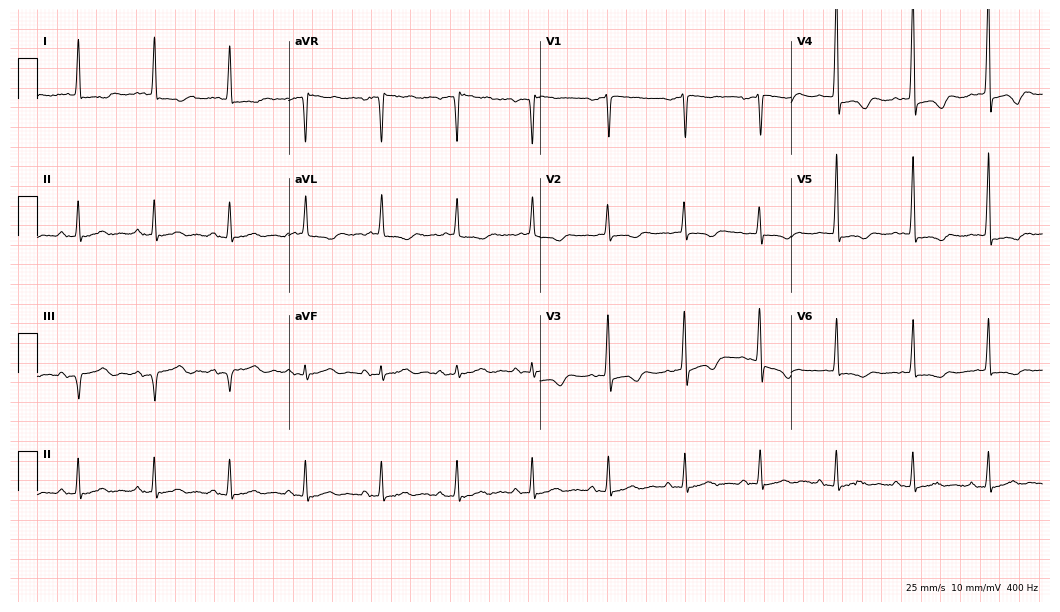
Resting 12-lead electrocardiogram. Patient: a woman, 80 years old. None of these six findings is recorded: first-degree AV block, right bundle branch block (RBBB), left bundle branch block (LBBB), sinus bradycardia, atrial fibrillation (AF), sinus tachycardia. Findings outside these six are not listed.